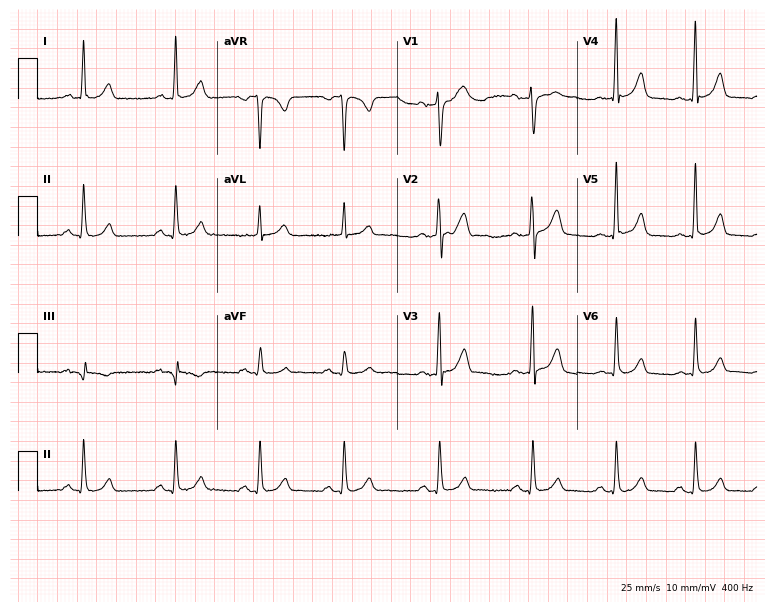
ECG — a 40-year-old male. Screened for six findings — first-degree AV block, right bundle branch block, left bundle branch block, sinus bradycardia, atrial fibrillation, sinus tachycardia — none is recorded. Only these six findings were labelled.